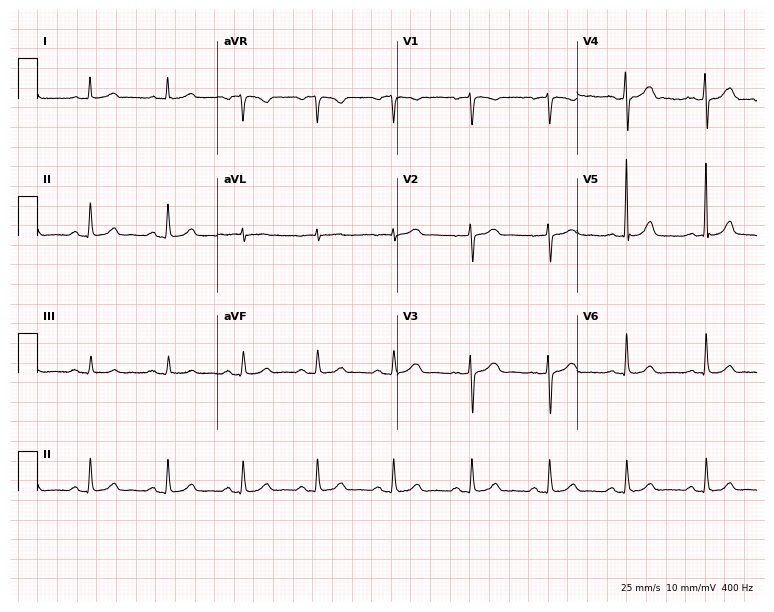
Resting 12-lead electrocardiogram (7.3-second recording at 400 Hz). Patient: a female, 41 years old. None of these six findings is recorded: first-degree AV block, right bundle branch block, left bundle branch block, sinus bradycardia, atrial fibrillation, sinus tachycardia.